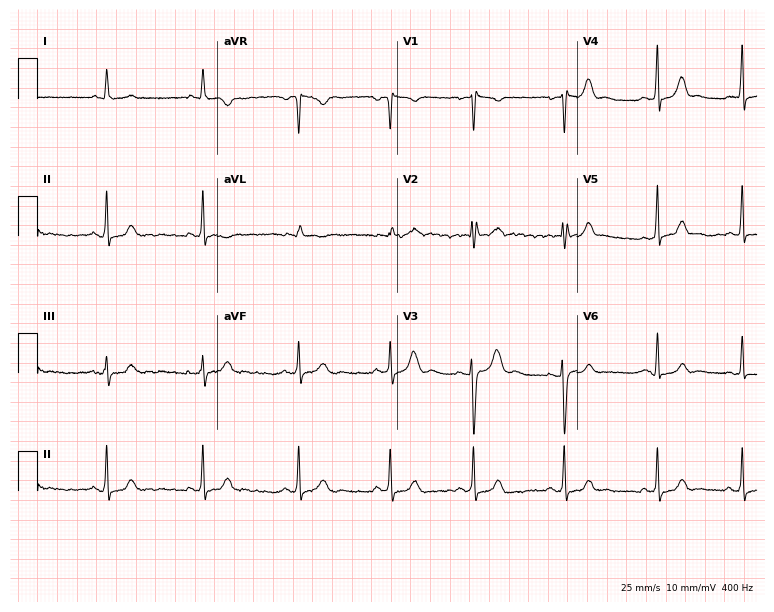
12-lead ECG from a female patient, 21 years old (7.3-second recording at 400 Hz). No first-degree AV block, right bundle branch block, left bundle branch block, sinus bradycardia, atrial fibrillation or sinus tachycardia recorded for this tracing.